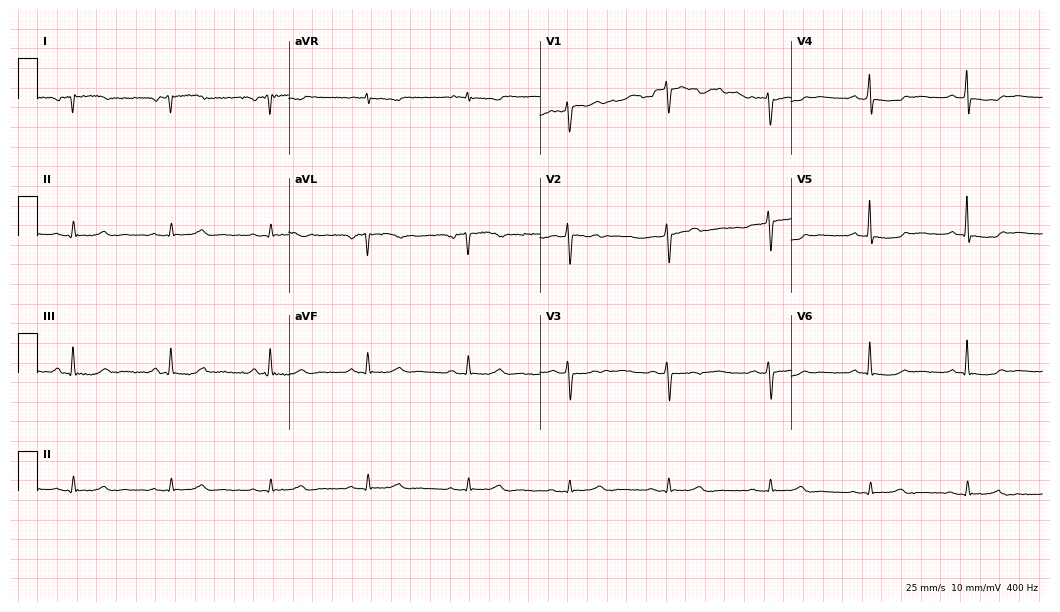
Resting 12-lead electrocardiogram (10.2-second recording at 400 Hz). Patient: a female, 62 years old. None of these six findings is recorded: first-degree AV block, right bundle branch block, left bundle branch block, sinus bradycardia, atrial fibrillation, sinus tachycardia.